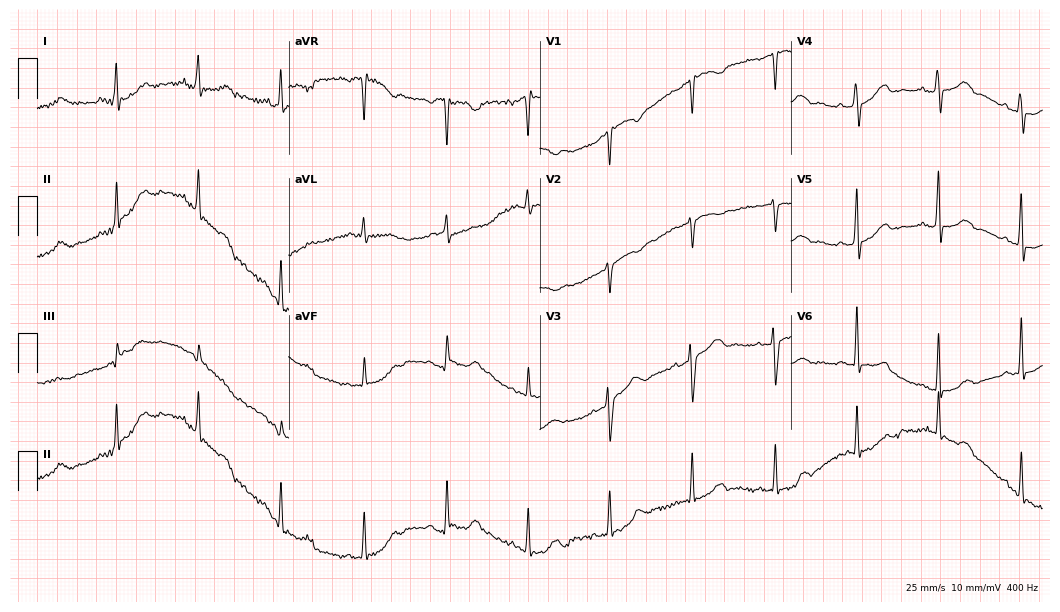
12-lead ECG from a 66-year-old female patient. Recorded interpretation: within normal limits.